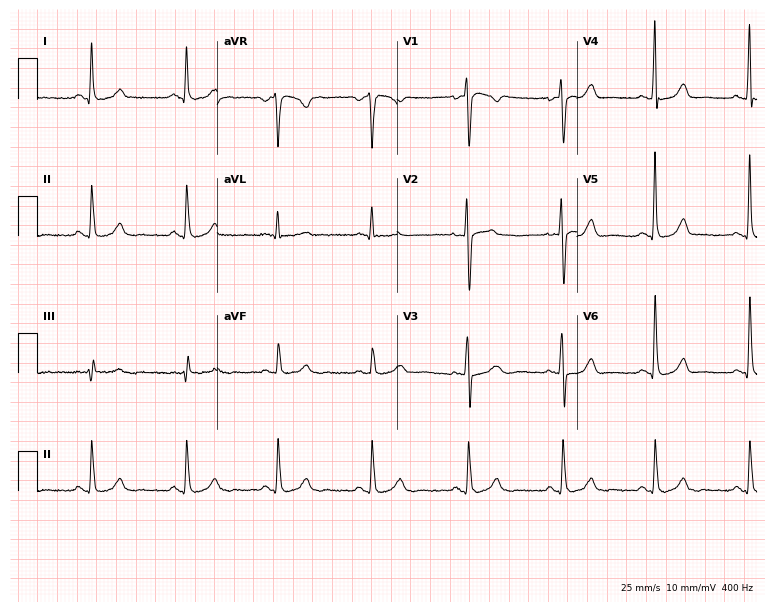
12-lead ECG from a 46-year-old female. Labelled as a normal ECG.